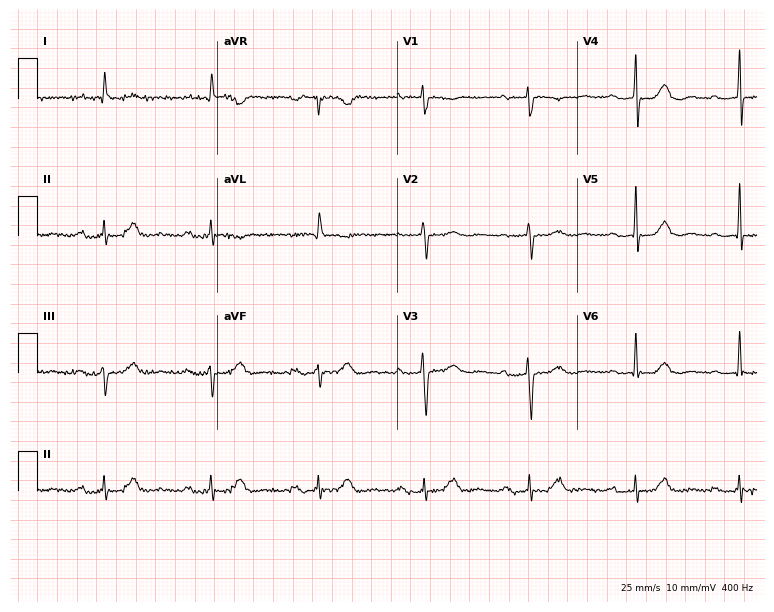
12-lead ECG from a female patient, 83 years old (7.3-second recording at 400 Hz). No first-degree AV block, right bundle branch block, left bundle branch block, sinus bradycardia, atrial fibrillation or sinus tachycardia recorded for this tracing. Findings outside these six are not listed.